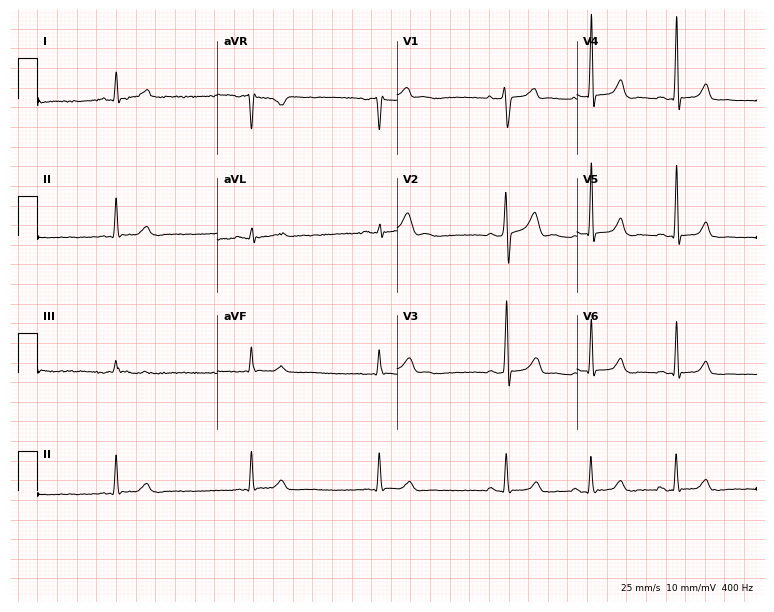
12-lead ECG (7.3-second recording at 400 Hz) from a male patient, 23 years old. Screened for six findings — first-degree AV block, right bundle branch block, left bundle branch block, sinus bradycardia, atrial fibrillation, sinus tachycardia — none is recorded. Findings outside these six are not listed.